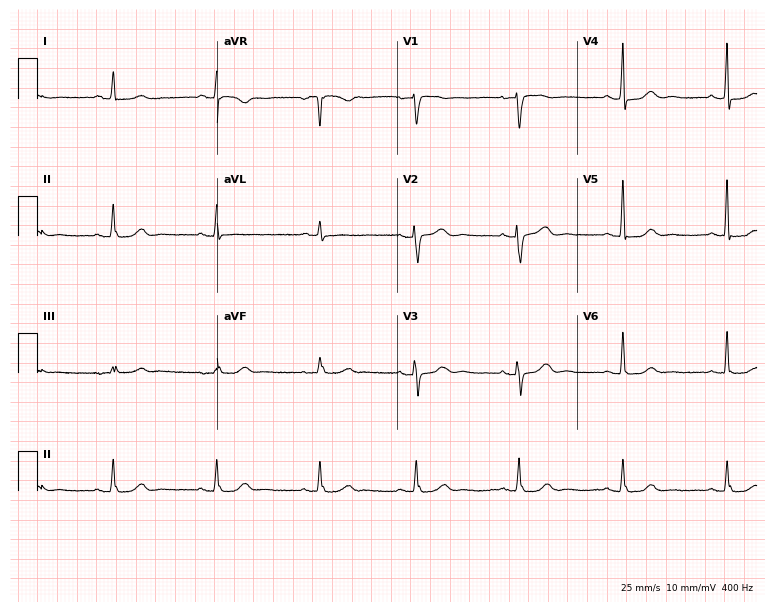
ECG — a female patient, 61 years old. Labelled as a normal ECG.